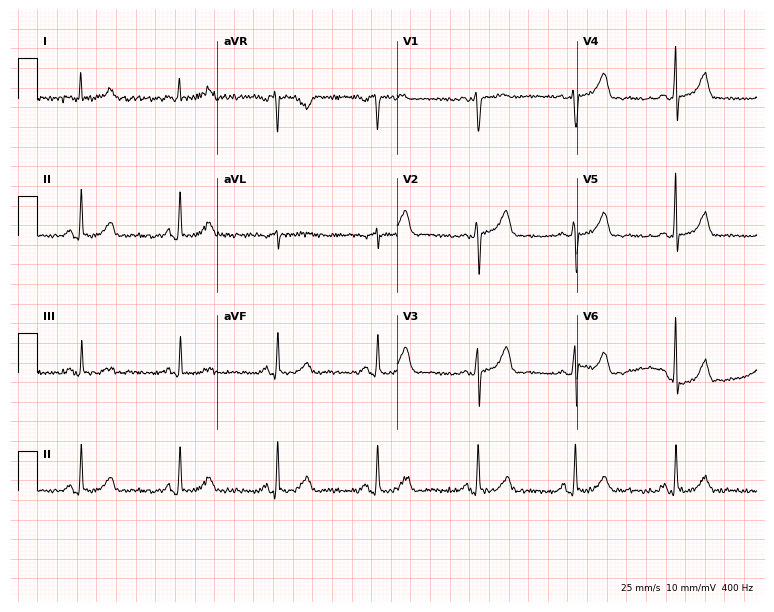
Electrocardiogram, a woman, 60 years old. Overall reading on record: normal ECG.